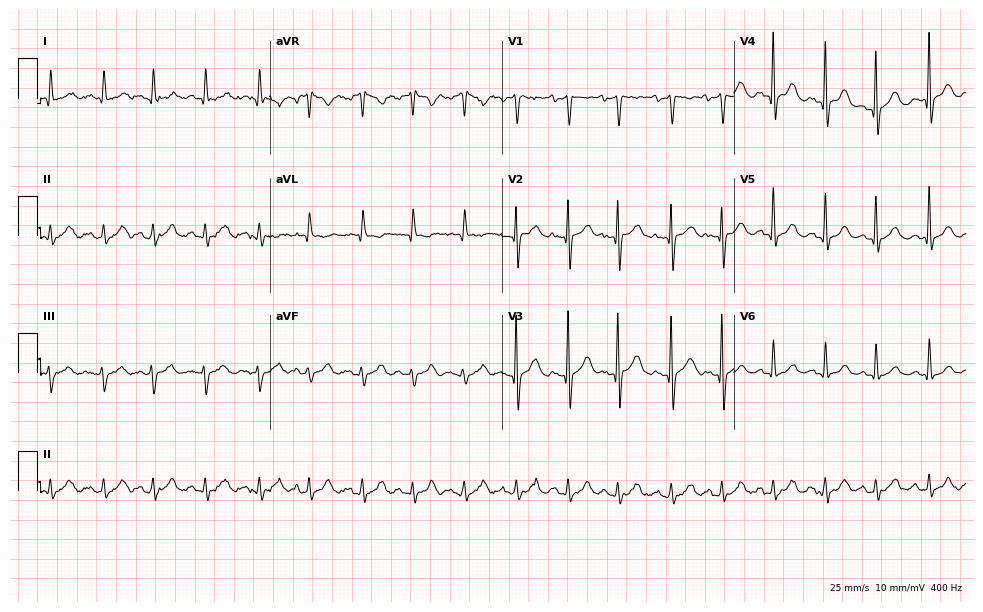
12-lead ECG from a female patient, 79 years old (9.5-second recording at 400 Hz). Shows sinus tachycardia (a sinus rate of 100 beats per minute or more).